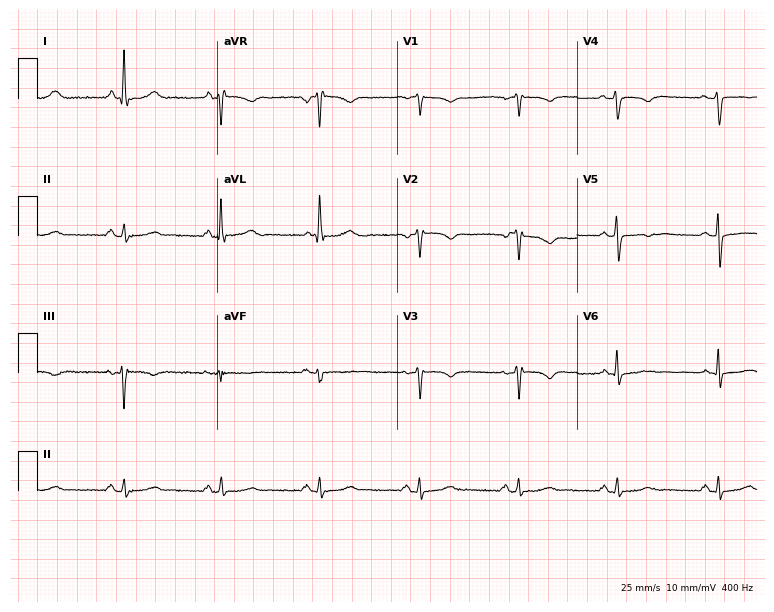
ECG (7.3-second recording at 400 Hz) — an 80-year-old female patient. Screened for six findings — first-degree AV block, right bundle branch block (RBBB), left bundle branch block (LBBB), sinus bradycardia, atrial fibrillation (AF), sinus tachycardia — none is recorded. Only these six findings were labelled.